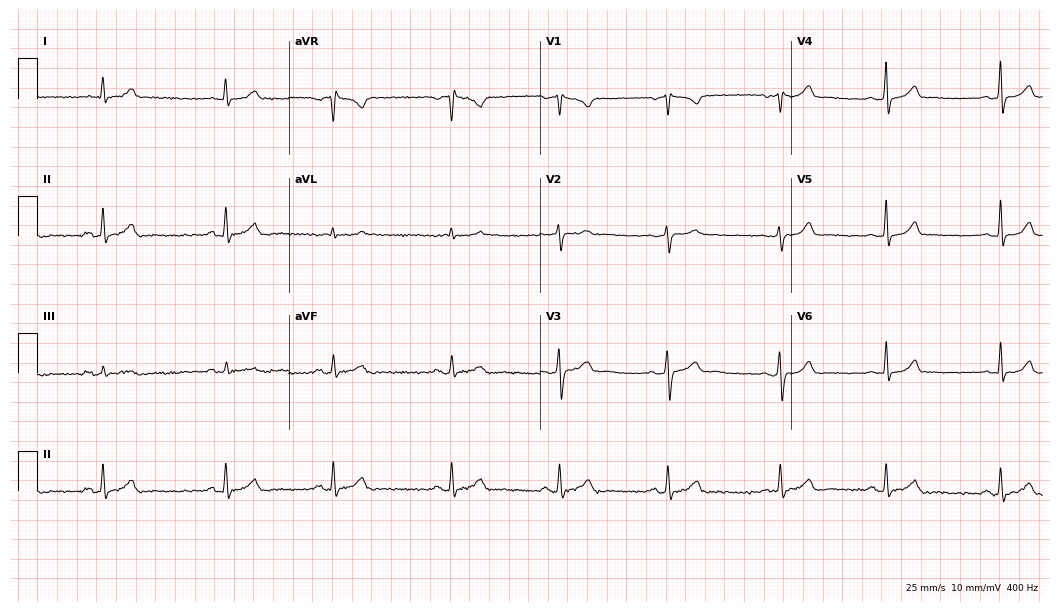
Electrocardiogram (10.2-second recording at 400 Hz), a woman, 18 years old. Overall reading on record: normal ECG.